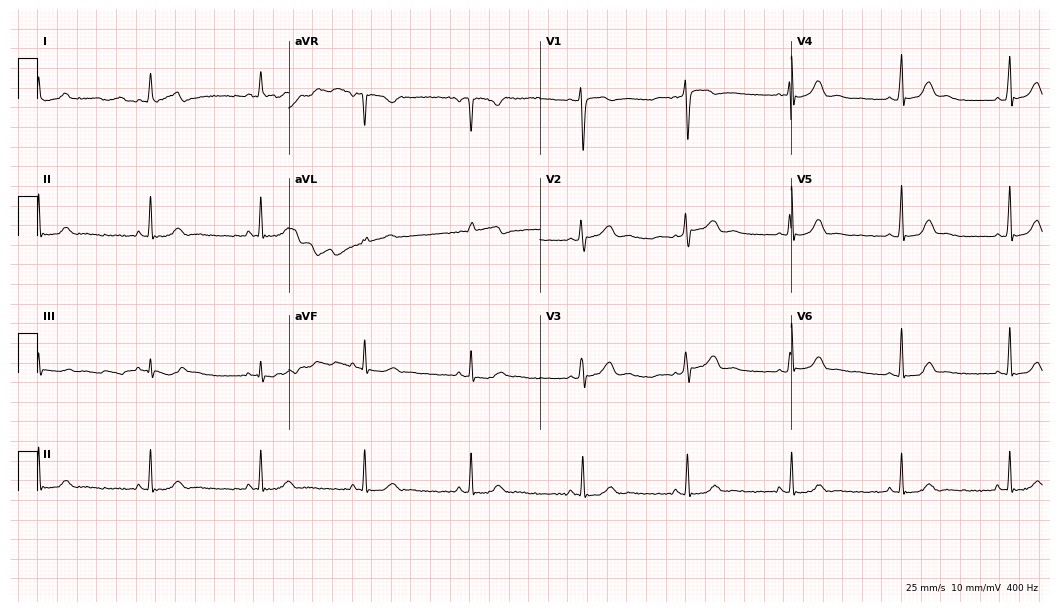
12-lead ECG from a 26-year-old woman (10.2-second recording at 400 Hz). Recorded interpretation: within normal limits.